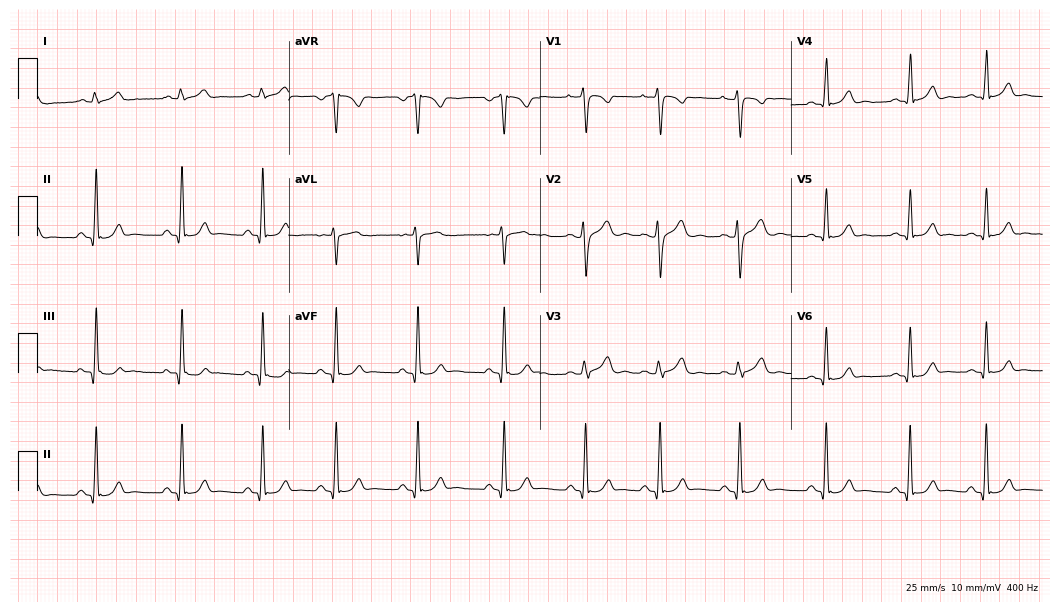
12-lead ECG from a woman, 20 years old. No first-degree AV block, right bundle branch block, left bundle branch block, sinus bradycardia, atrial fibrillation or sinus tachycardia recorded for this tracing. Only these six findings were labelled.